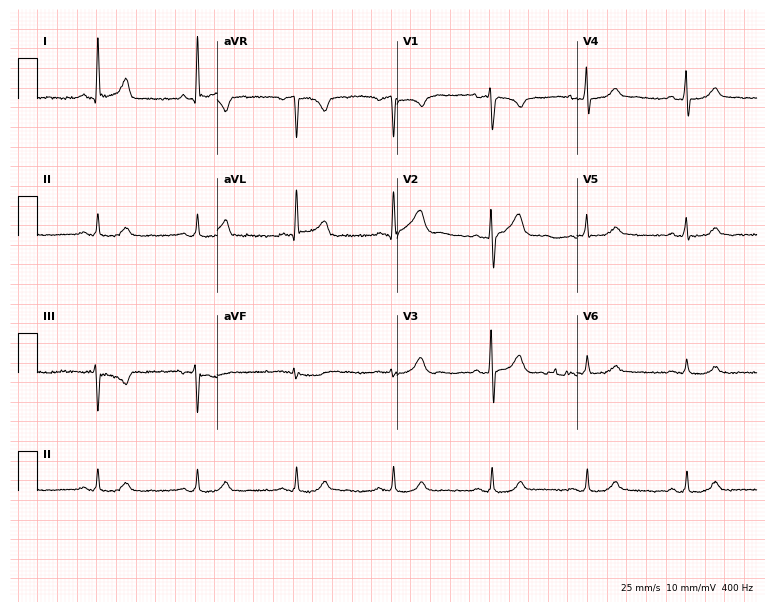
Electrocardiogram, a man, 60 years old. Overall reading on record: normal ECG.